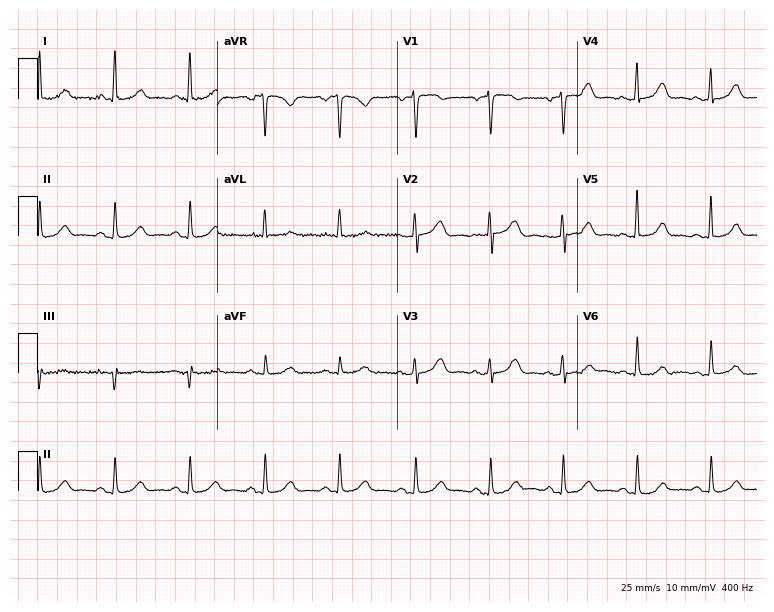
12-lead ECG from a woman, 59 years old (7.3-second recording at 400 Hz). Recorded interpretation: within normal limits.